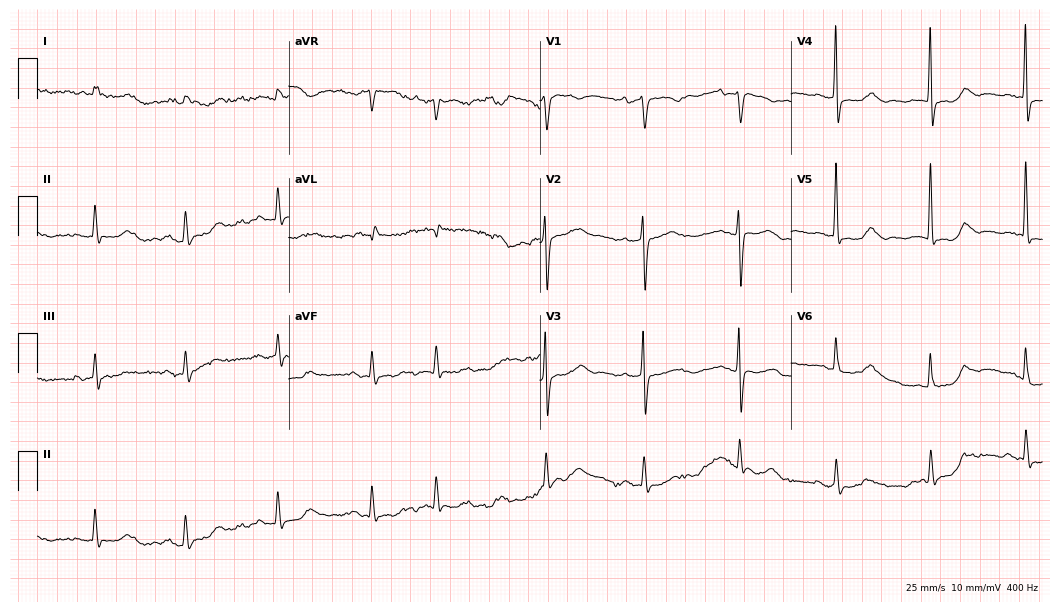
Electrocardiogram, a 78-year-old female patient. Of the six screened findings (first-degree AV block, right bundle branch block (RBBB), left bundle branch block (LBBB), sinus bradycardia, atrial fibrillation (AF), sinus tachycardia), none is recorded. Findings outside these six are not listed.